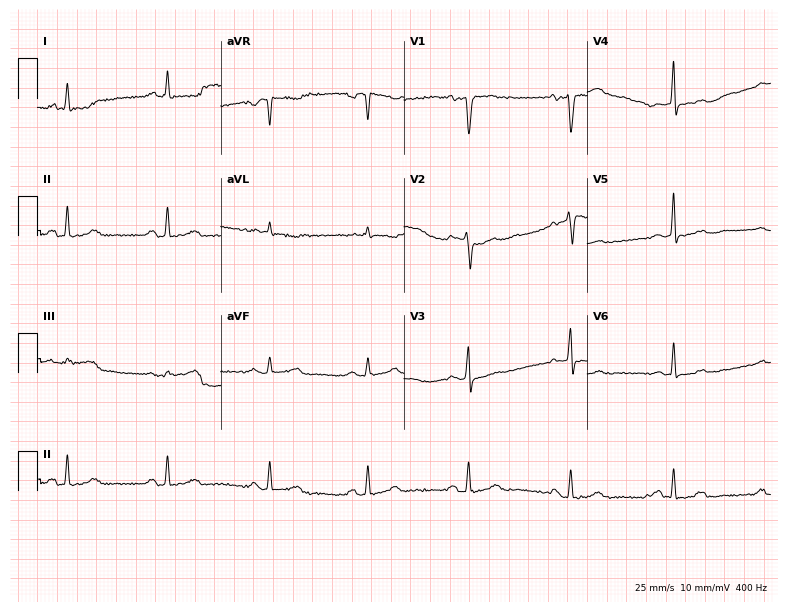
12-lead ECG (7.5-second recording at 400 Hz) from a female patient, 58 years old. Labelled as a normal ECG.